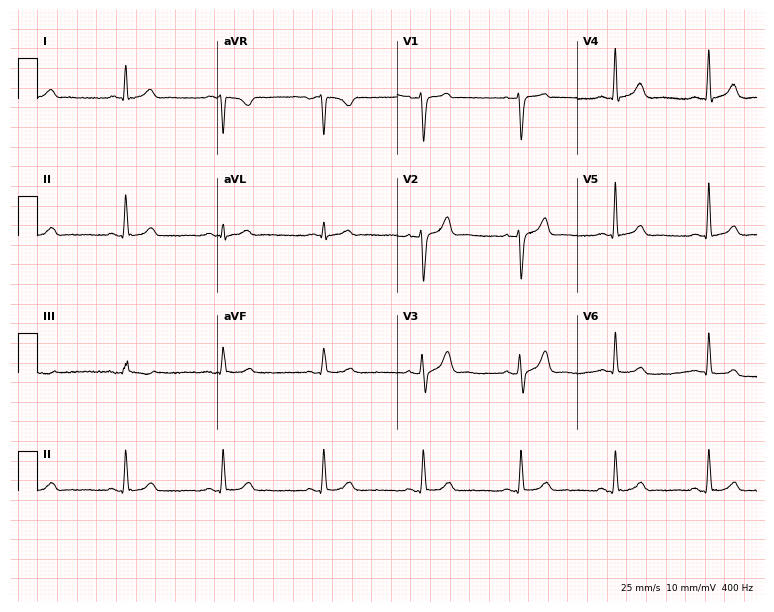
12-lead ECG from a 41-year-old male. Screened for six findings — first-degree AV block, right bundle branch block, left bundle branch block, sinus bradycardia, atrial fibrillation, sinus tachycardia — none is recorded. Findings outside these six are not listed.